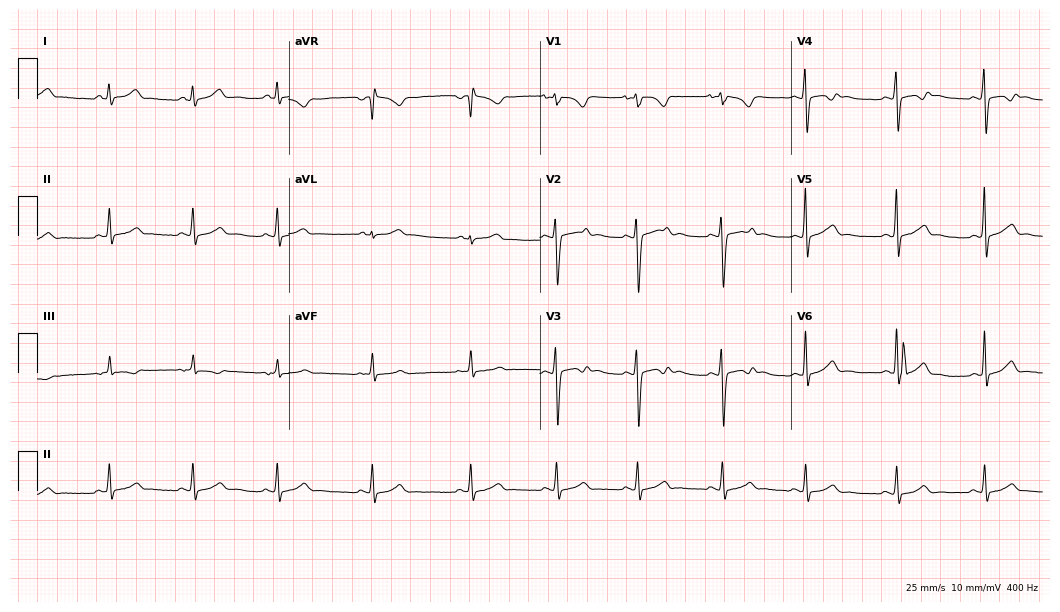
Resting 12-lead electrocardiogram (10.2-second recording at 400 Hz). Patient: a woman, 25 years old. Read as a normal ECG.